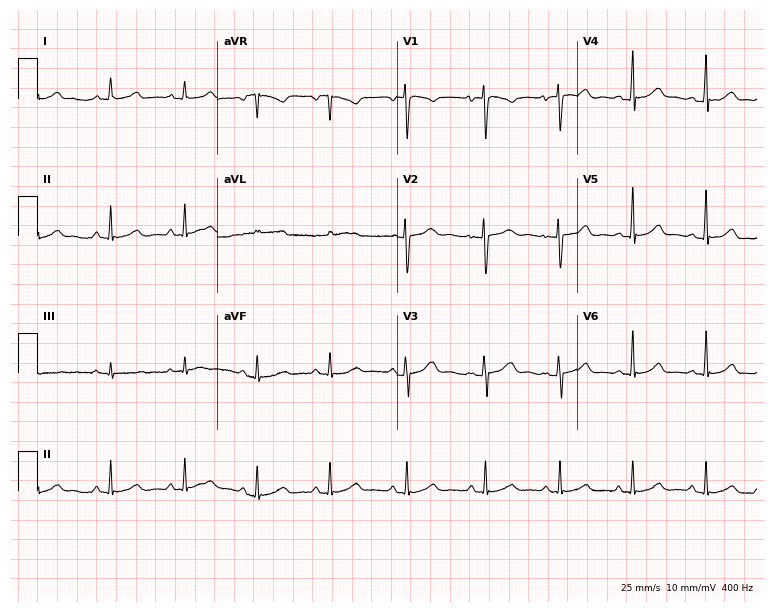
12-lead ECG from a 34-year-old female patient. Labelled as a normal ECG.